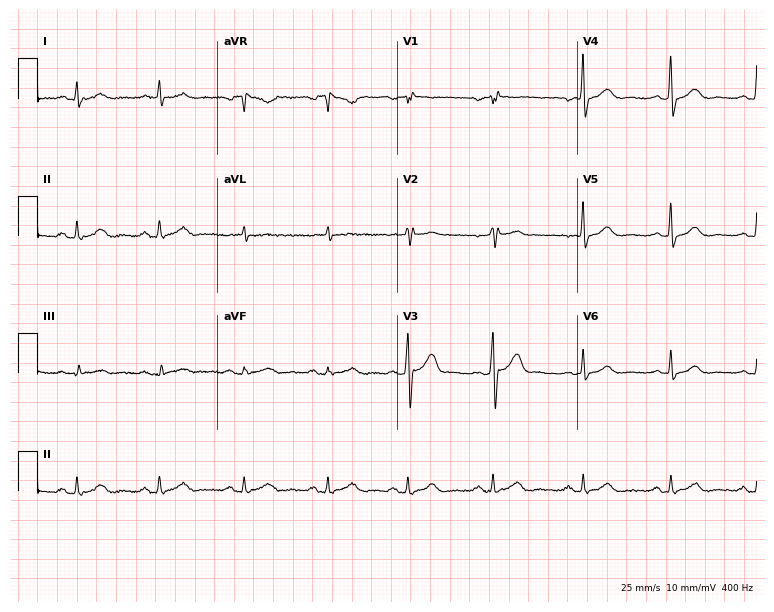
12-lead ECG from a man, 61 years old. No first-degree AV block, right bundle branch block (RBBB), left bundle branch block (LBBB), sinus bradycardia, atrial fibrillation (AF) or sinus tachycardia recorded for this tracing.